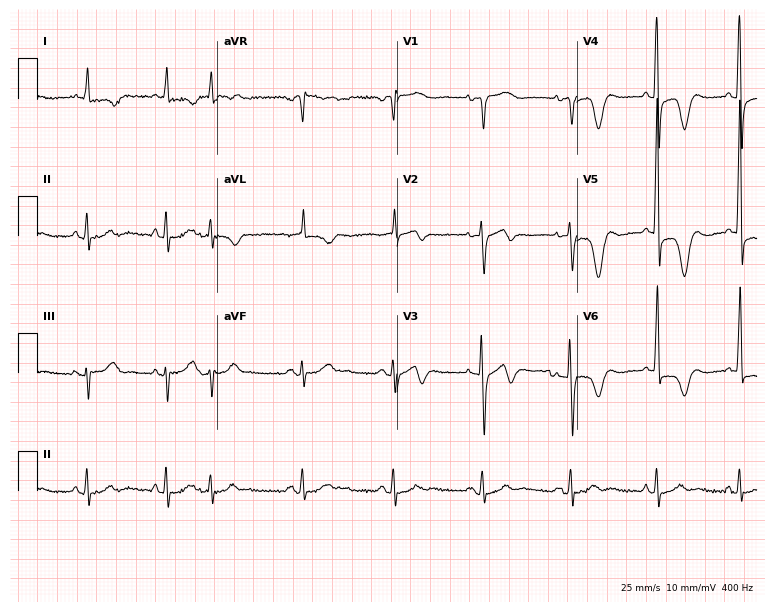
Resting 12-lead electrocardiogram (7.3-second recording at 400 Hz). Patient: a male, 82 years old. None of these six findings is recorded: first-degree AV block, right bundle branch block (RBBB), left bundle branch block (LBBB), sinus bradycardia, atrial fibrillation (AF), sinus tachycardia.